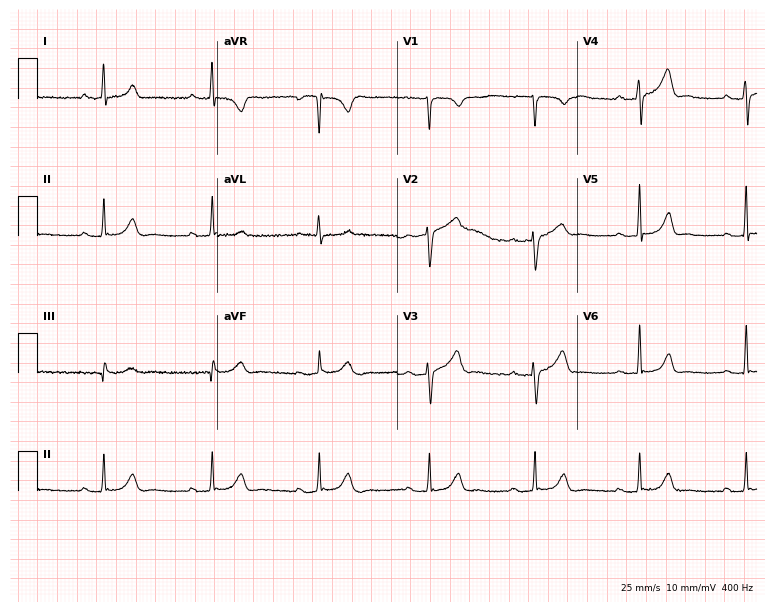
Resting 12-lead electrocardiogram (7.3-second recording at 400 Hz). Patient: a female, 50 years old. The tracing shows first-degree AV block.